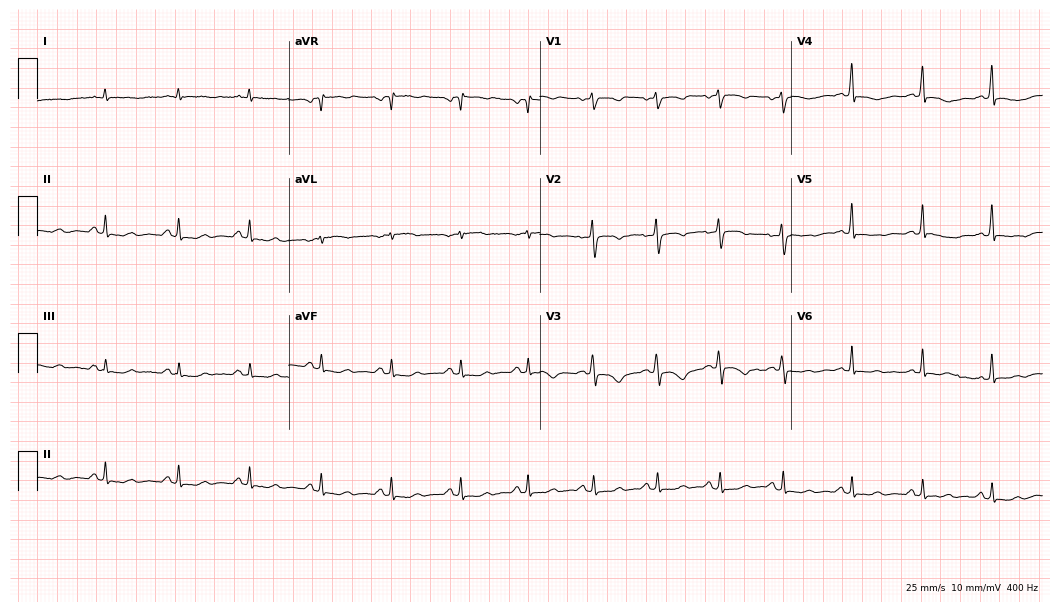
Standard 12-lead ECG recorded from a female, 41 years old. None of these six findings is recorded: first-degree AV block, right bundle branch block (RBBB), left bundle branch block (LBBB), sinus bradycardia, atrial fibrillation (AF), sinus tachycardia. Findings outside these six are not listed.